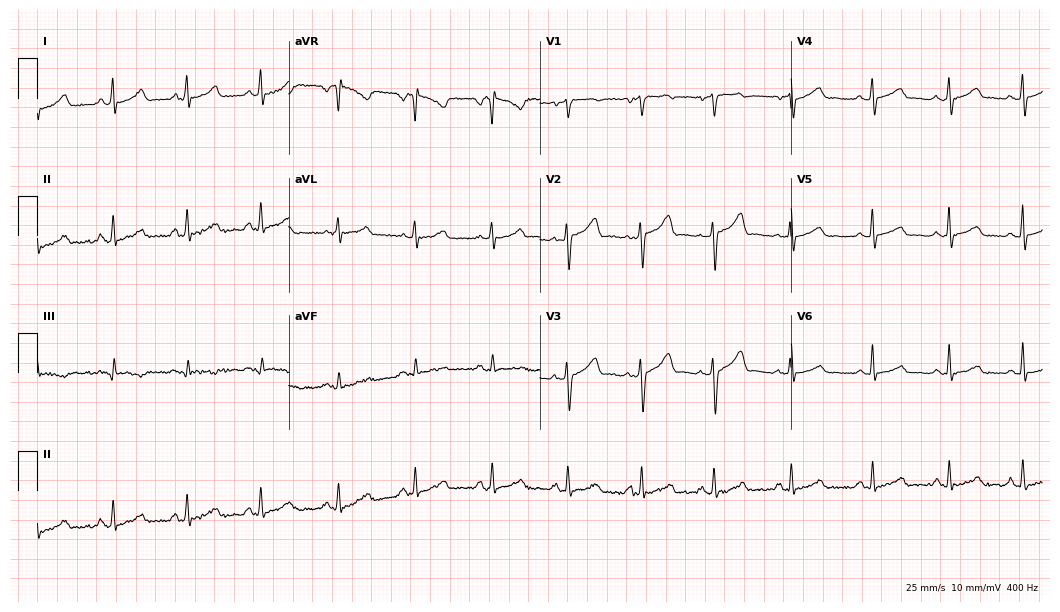
ECG — a female, 21 years old. Screened for six findings — first-degree AV block, right bundle branch block (RBBB), left bundle branch block (LBBB), sinus bradycardia, atrial fibrillation (AF), sinus tachycardia — none is recorded.